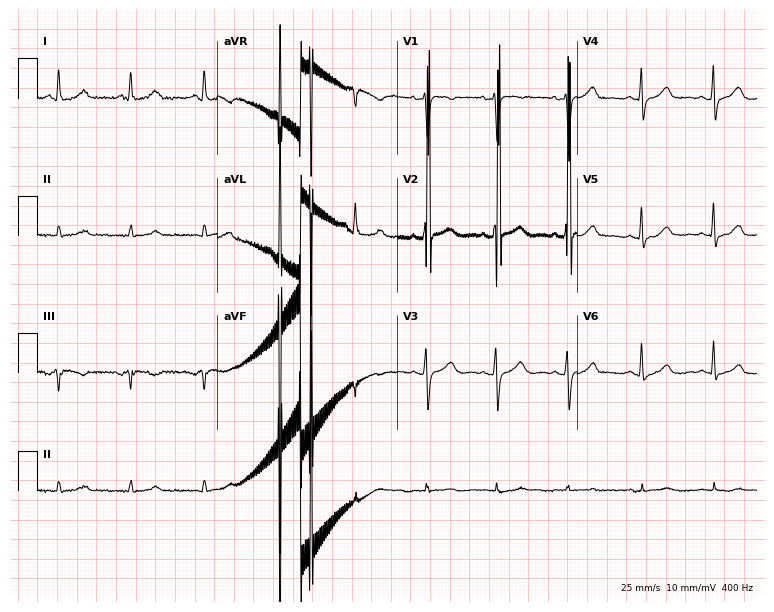
Resting 12-lead electrocardiogram. Patient: a female, 43 years old. Read as a normal ECG.